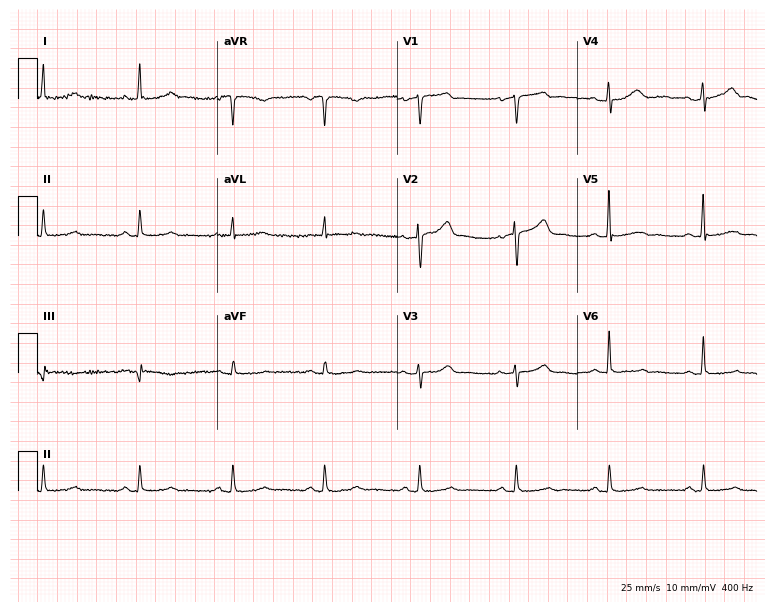
Resting 12-lead electrocardiogram. Patient: a woman, 55 years old. Read as a normal ECG.